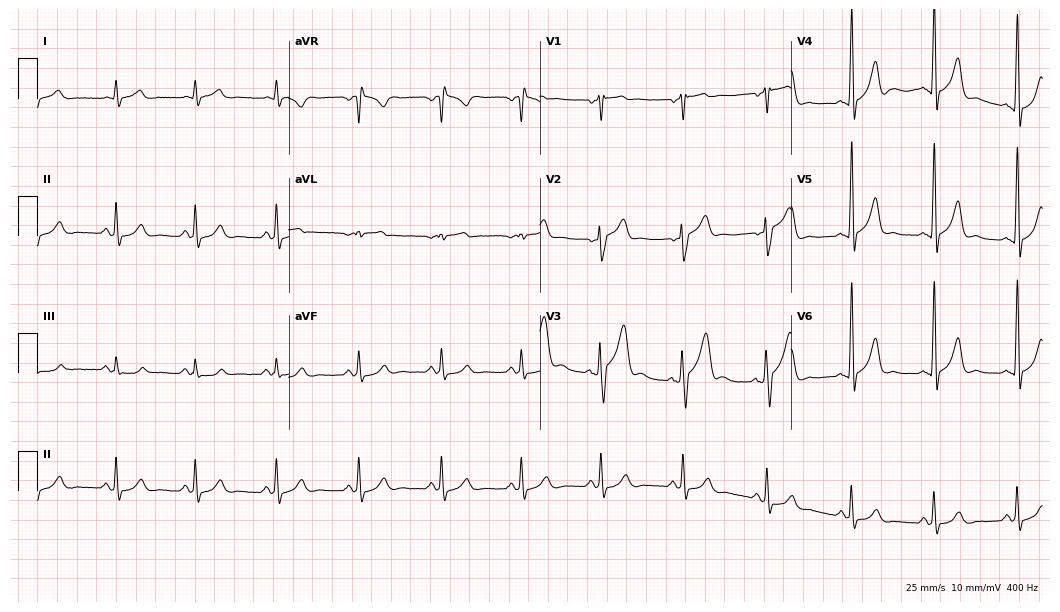
ECG — a male, 49 years old. Labelled as a normal ECG.